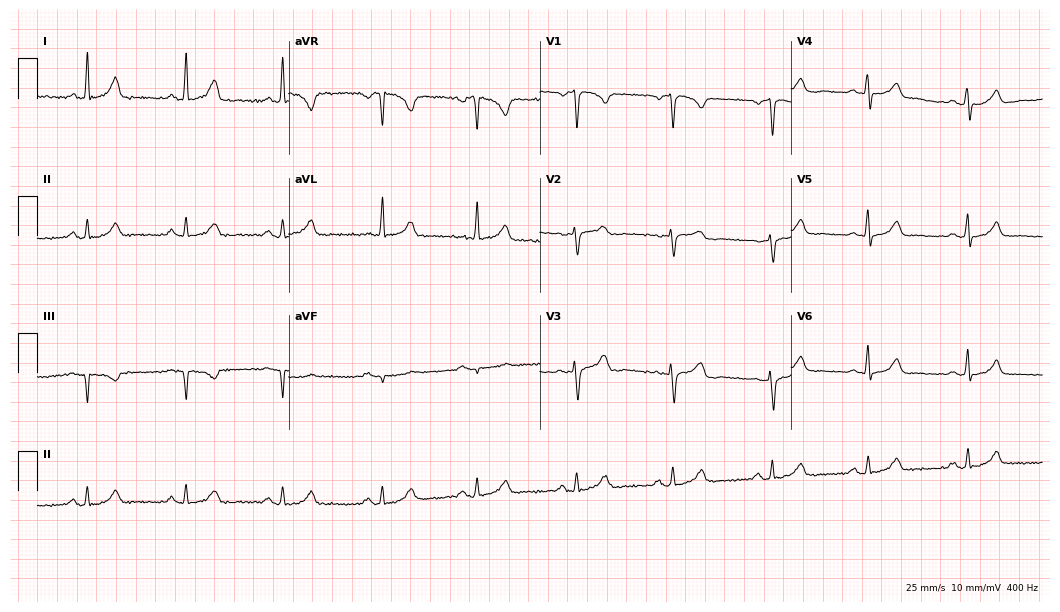
Electrocardiogram (10.2-second recording at 400 Hz), a 39-year-old female. Of the six screened findings (first-degree AV block, right bundle branch block, left bundle branch block, sinus bradycardia, atrial fibrillation, sinus tachycardia), none is recorded. Findings outside these six are not listed.